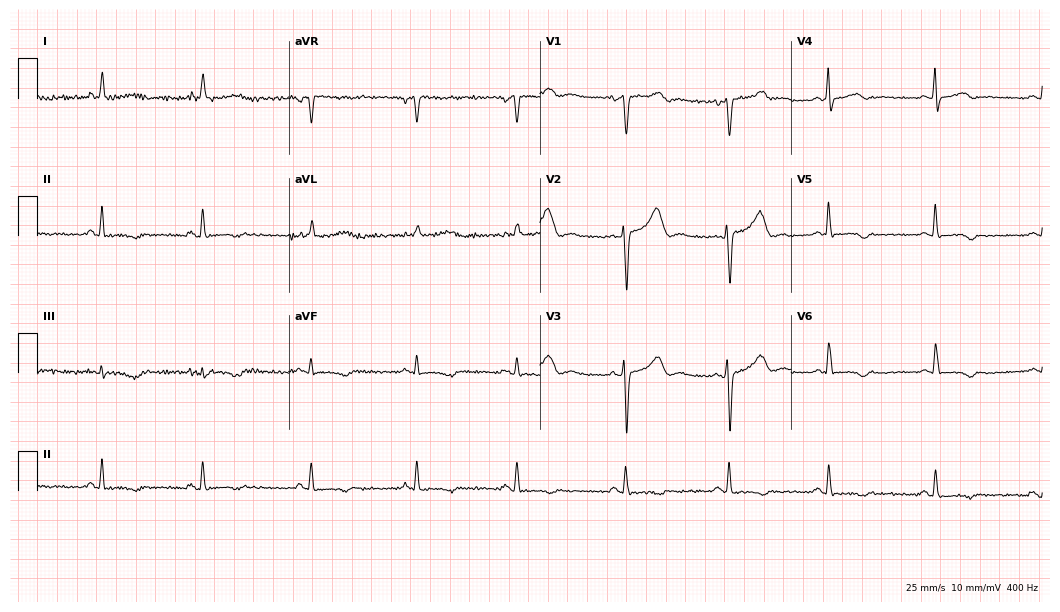
Resting 12-lead electrocardiogram. Patient: a female, 44 years old. None of these six findings is recorded: first-degree AV block, right bundle branch block, left bundle branch block, sinus bradycardia, atrial fibrillation, sinus tachycardia. Other findings, if any, are not listed.